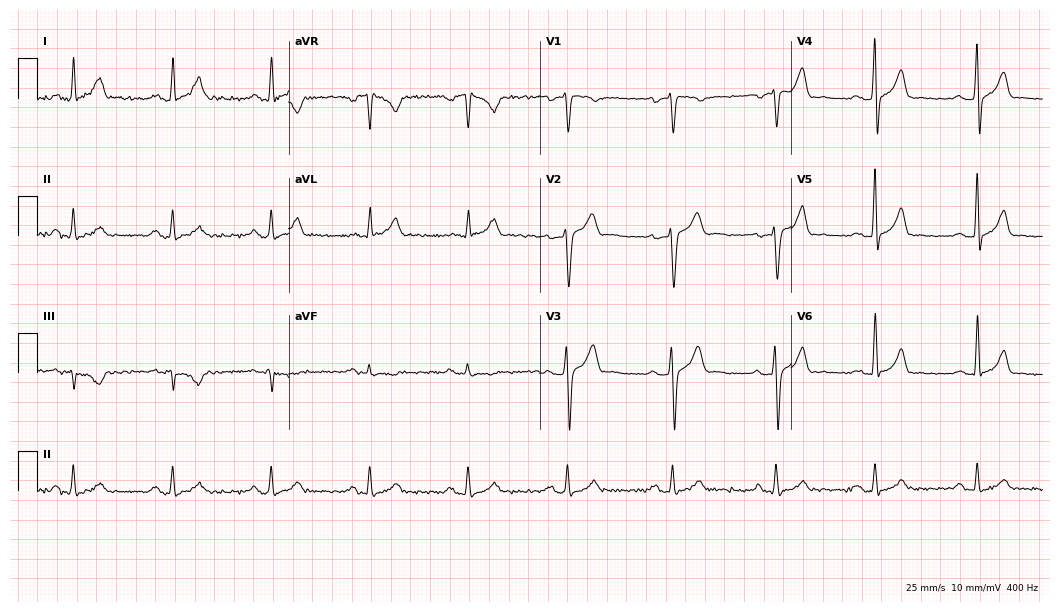
12-lead ECG from a male, 45 years old (10.2-second recording at 400 Hz). Recorded interpretation: within normal limits.